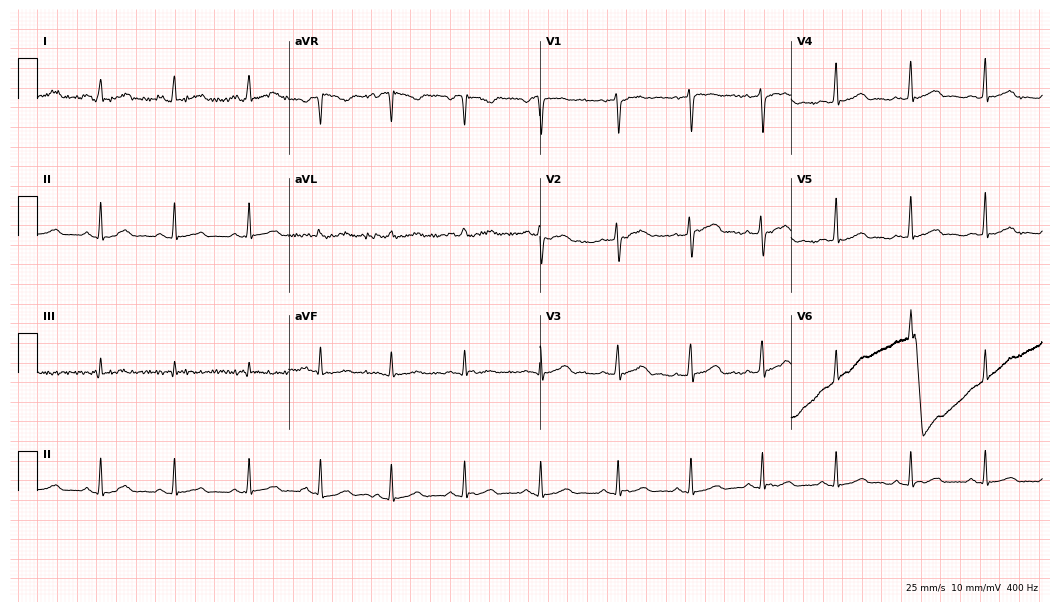
ECG (10.2-second recording at 400 Hz) — a 30-year-old woman. Labelled as a normal ECG.